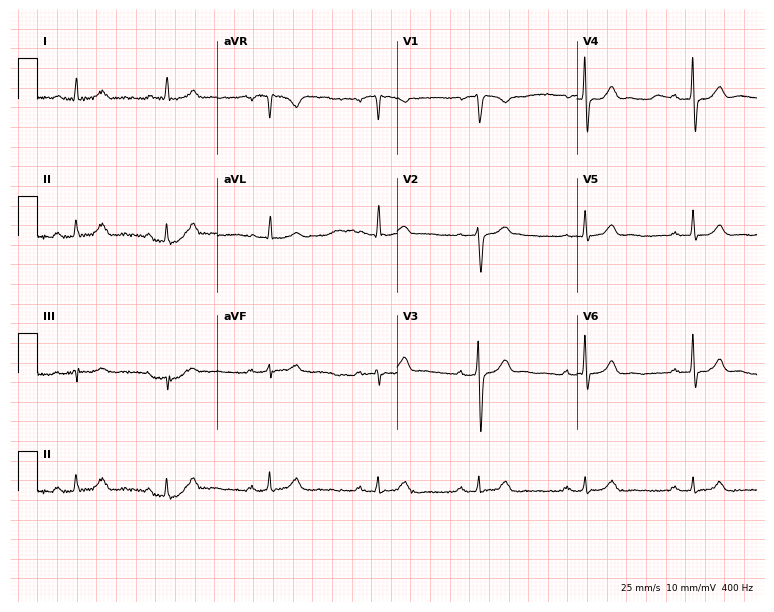
Standard 12-lead ECG recorded from a 54-year-old male (7.3-second recording at 400 Hz). Read as a normal ECG.